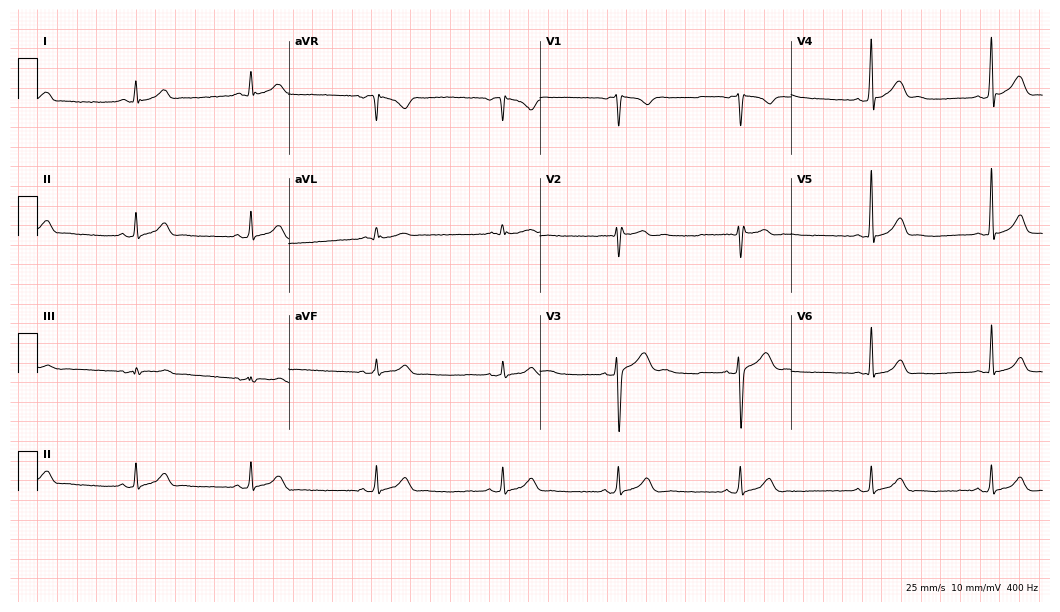
12-lead ECG from a man, 23 years old. Recorded interpretation: within normal limits.